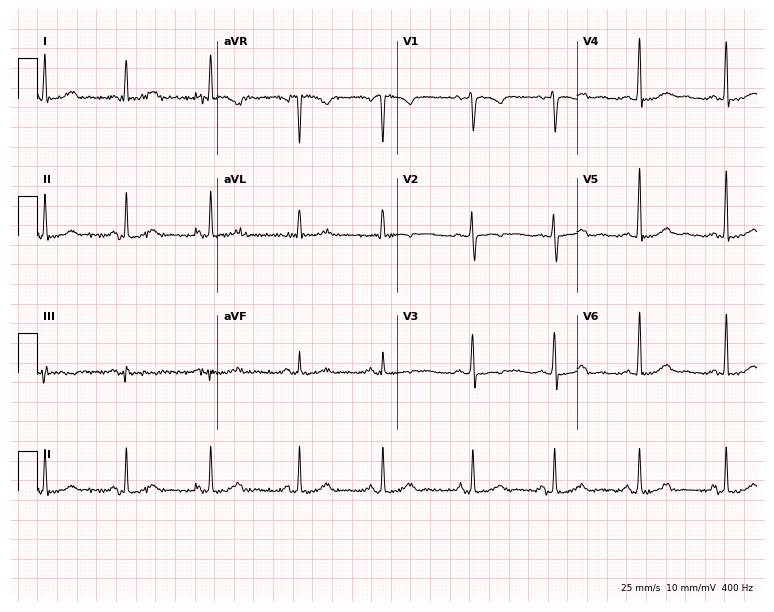
Resting 12-lead electrocardiogram (7.3-second recording at 400 Hz). Patient: a 48-year-old female. Read as a normal ECG.